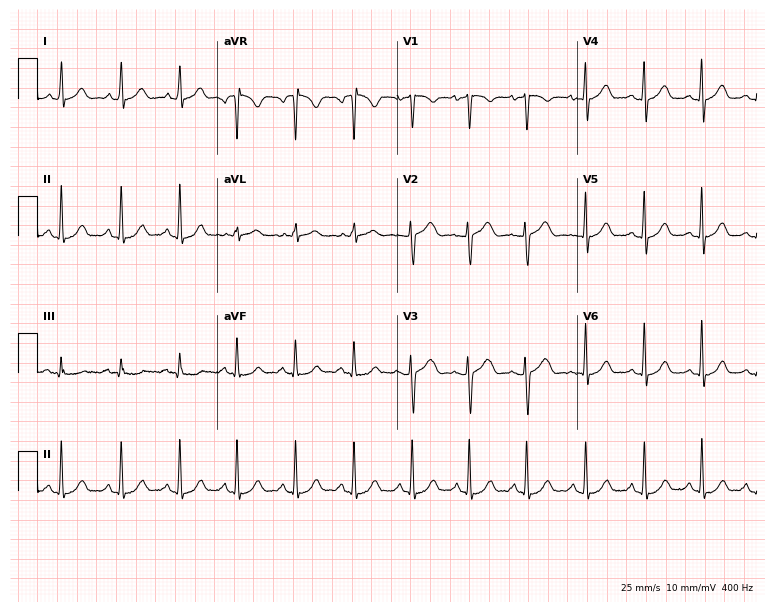
ECG — a female, 28 years old. Findings include sinus tachycardia (a sinus rate of 100 beats per minute or more).